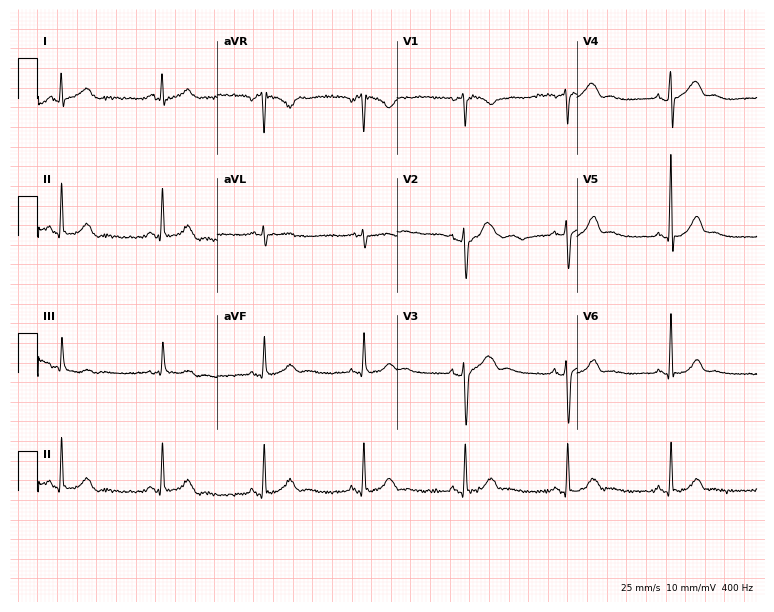
12-lead ECG from a female patient, 43 years old. Recorded interpretation: within normal limits.